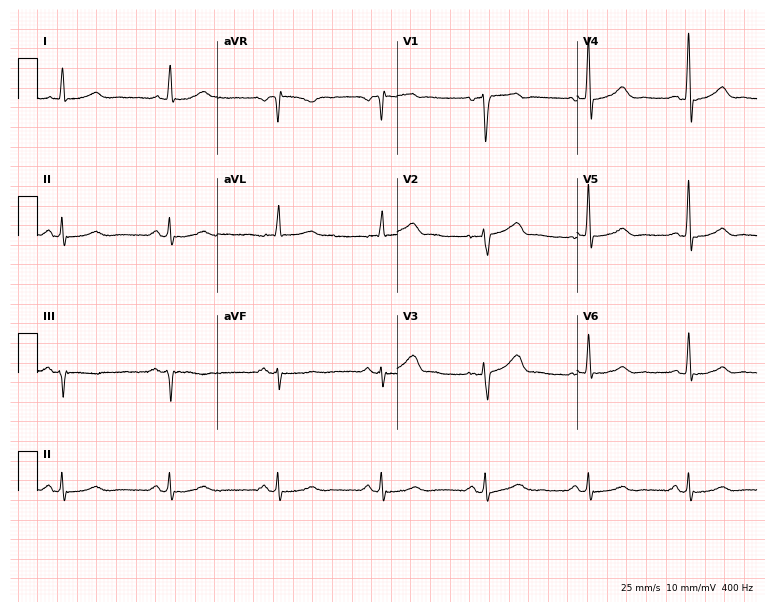
Standard 12-lead ECG recorded from a 70-year-old male (7.3-second recording at 400 Hz). None of these six findings is recorded: first-degree AV block, right bundle branch block (RBBB), left bundle branch block (LBBB), sinus bradycardia, atrial fibrillation (AF), sinus tachycardia.